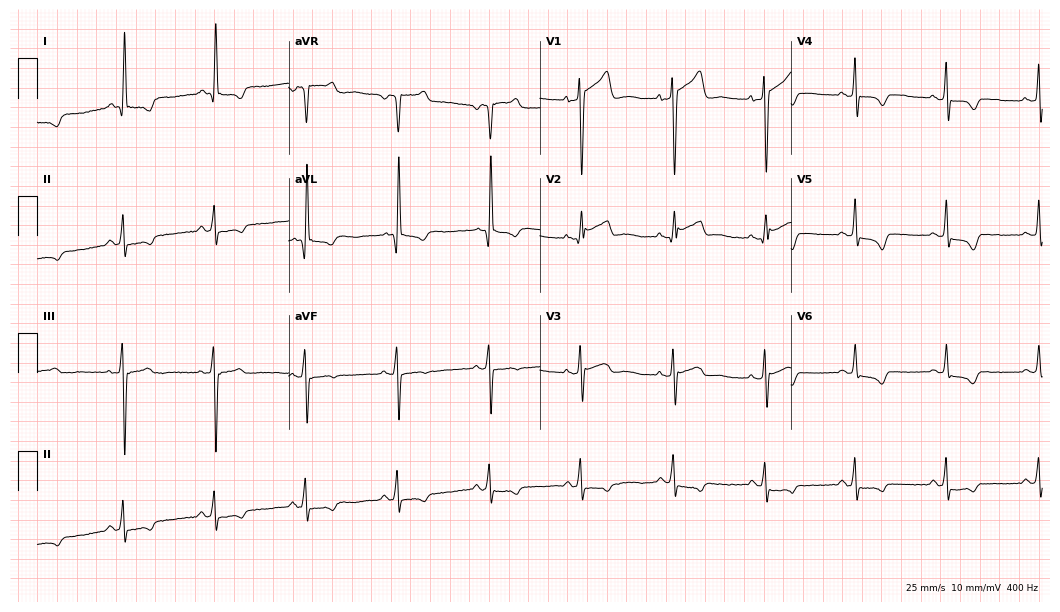
Electrocardiogram (10.2-second recording at 400 Hz), a 54-year-old man. Of the six screened findings (first-degree AV block, right bundle branch block (RBBB), left bundle branch block (LBBB), sinus bradycardia, atrial fibrillation (AF), sinus tachycardia), none is recorded. Findings outside these six are not listed.